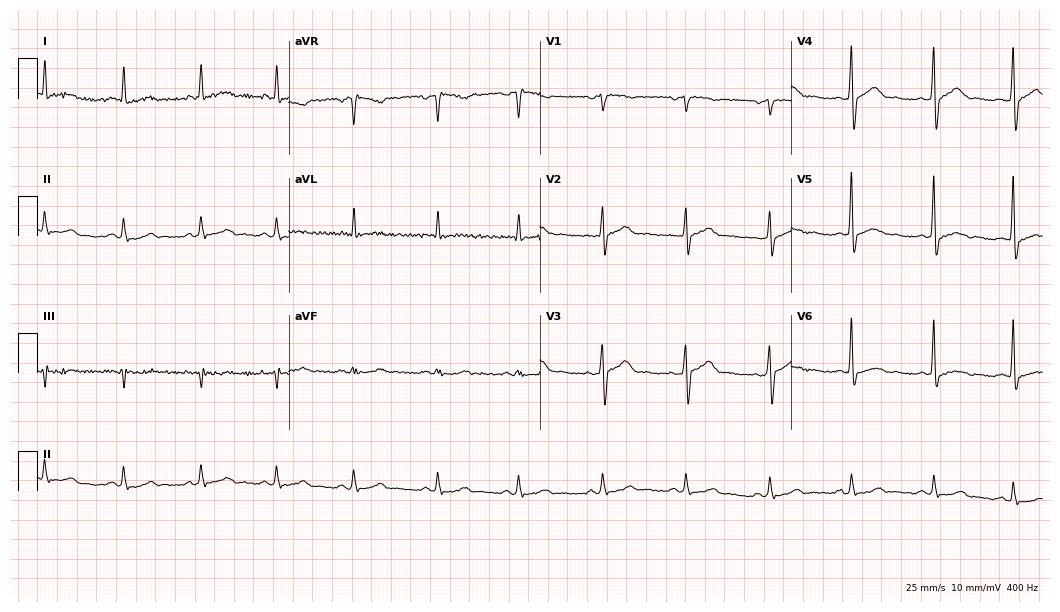
Electrocardiogram (10.2-second recording at 400 Hz), a man, 58 years old. Of the six screened findings (first-degree AV block, right bundle branch block, left bundle branch block, sinus bradycardia, atrial fibrillation, sinus tachycardia), none is recorded.